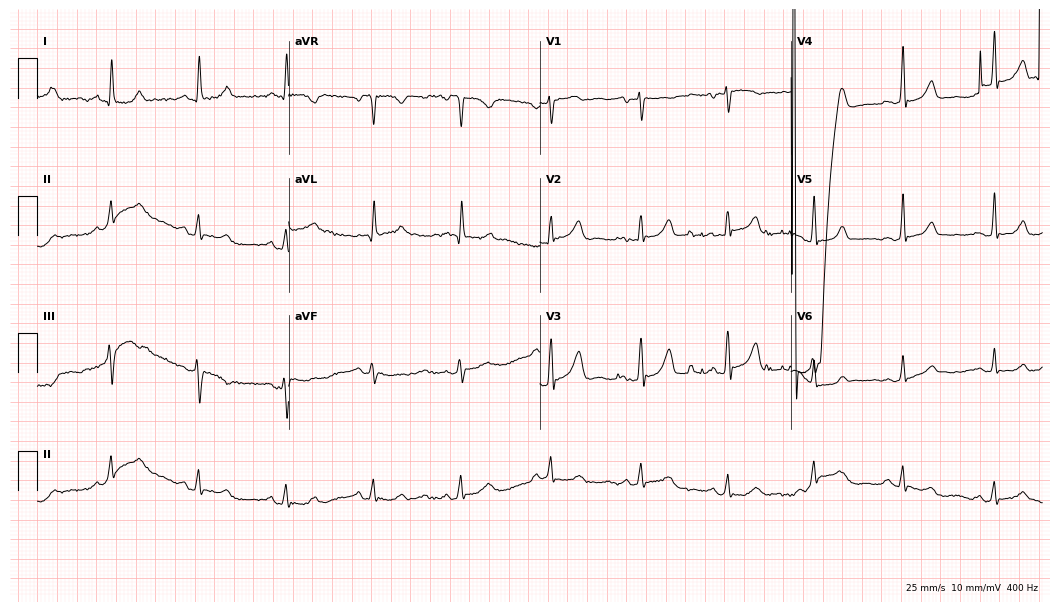
Standard 12-lead ECG recorded from a female patient, 53 years old. None of these six findings is recorded: first-degree AV block, right bundle branch block (RBBB), left bundle branch block (LBBB), sinus bradycardia, atrial fibrillation (AF), sinus tachycardia.